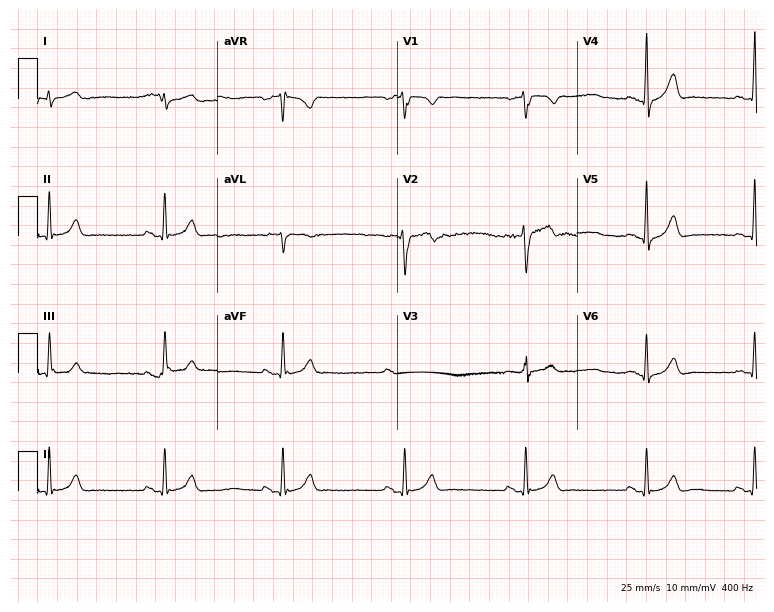
ECG — a 31-year-old male. Labelled as a normal ECG.